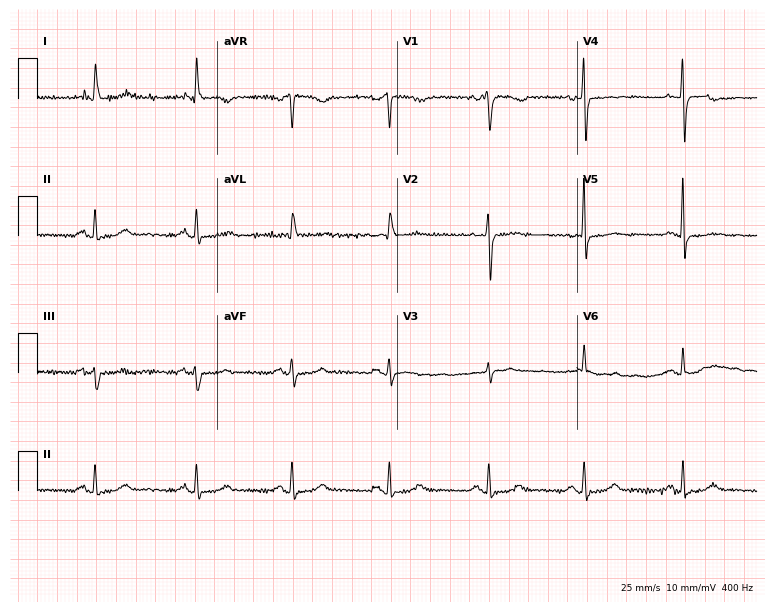
12-lead ECG (7.3-second recording at 400 Hz) from a 67-year-old female. Screened for six findings — first-degree AV block, right bundle branch block (RBBB), left bundle branch block (LBBB), sinus bradycardia, atrial fibrillation (AF), sinus tachycardia — none is recorded. Findings outside these six are not listed.